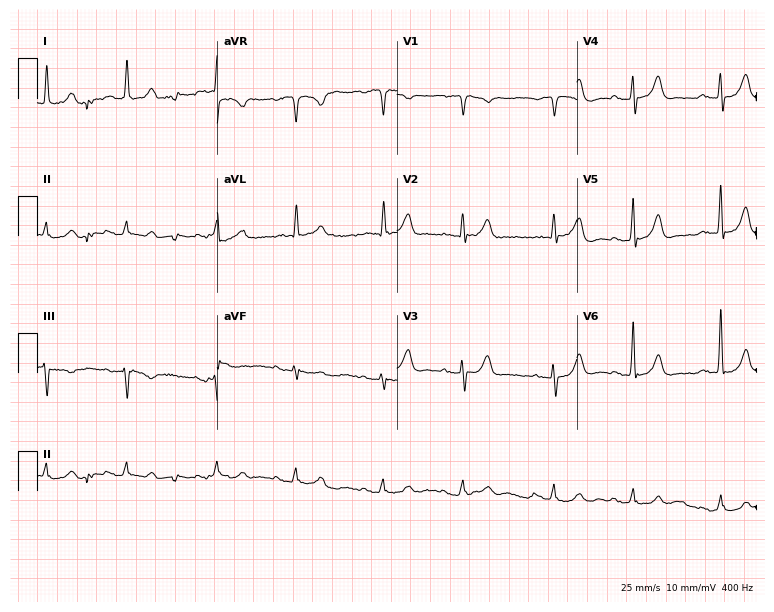
ECG (7.3-second recording at 400 Hz) — a man, 77 years old. Screened for six findings — first-degree AV block, right bundle branch block (RBBB), left bundle branch block (LBBB), sinus bradycardia, atrial fibrillation (AF), sinus tachycardia — none is recorded.